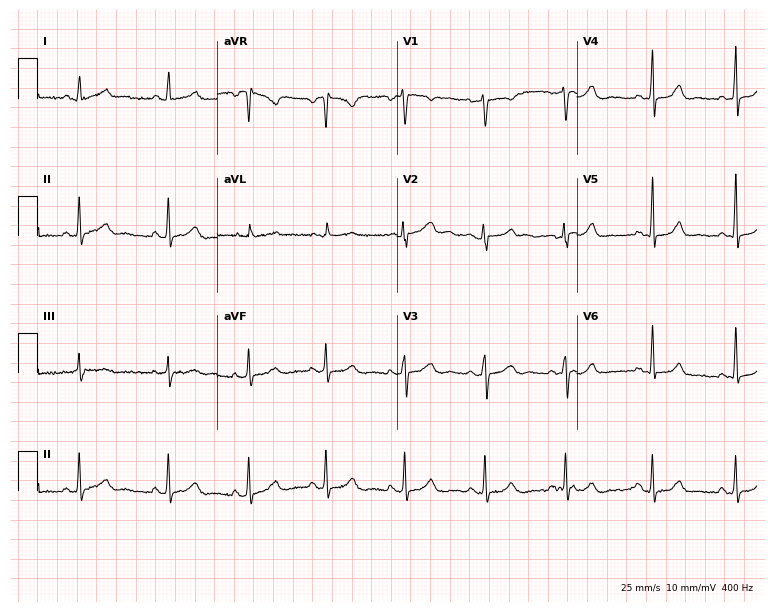
Standard 12-lead ECG recorded from a female patient, 39 years old (7.3-second recording at 400 Hz). Read as a normal ECG.